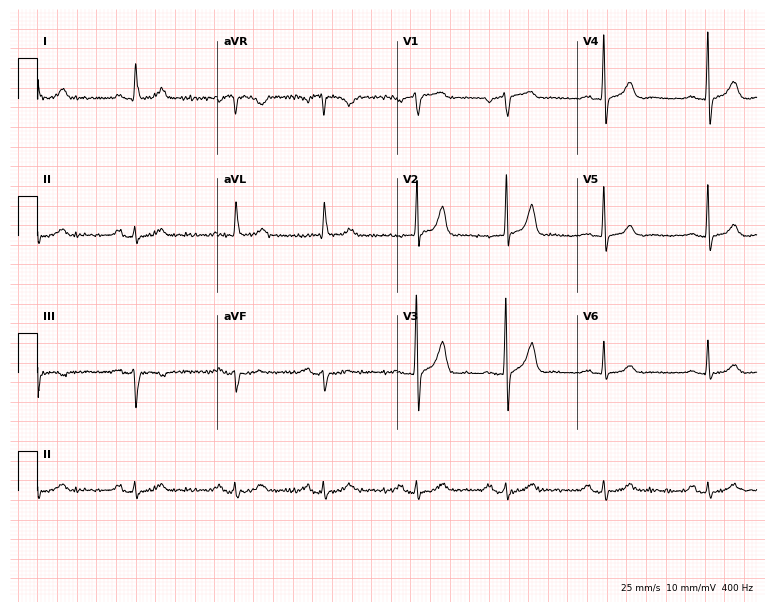
12-lead ECG from a 79-year-old man. Recorded interpretation: within normal limits.